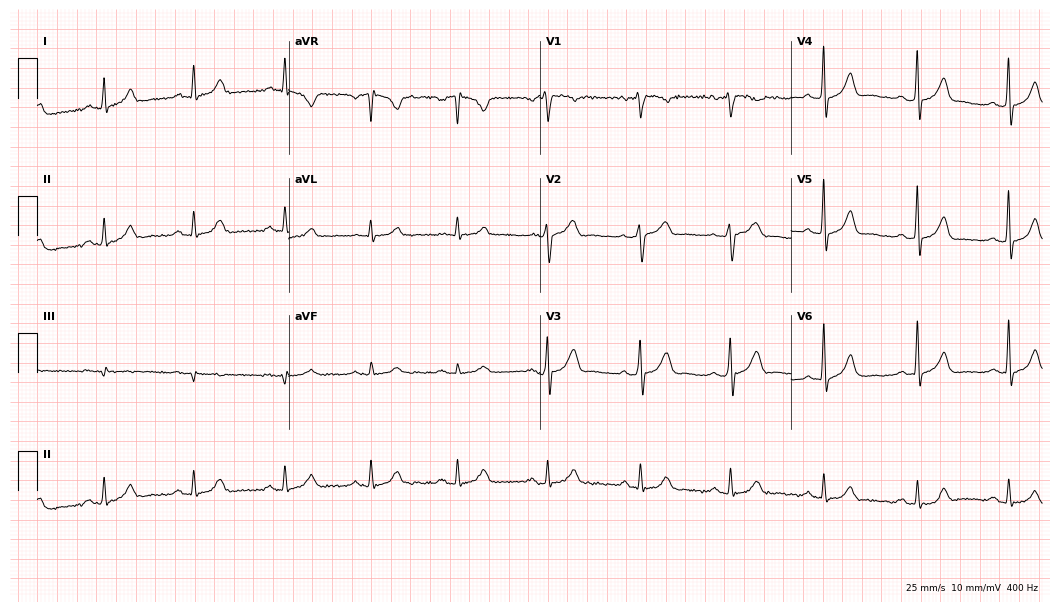
Resting 12-lead electrocardiogram (10.2-second recording at 400 Hz). Patient: a male, 52 years old. Read as a normal ECG.